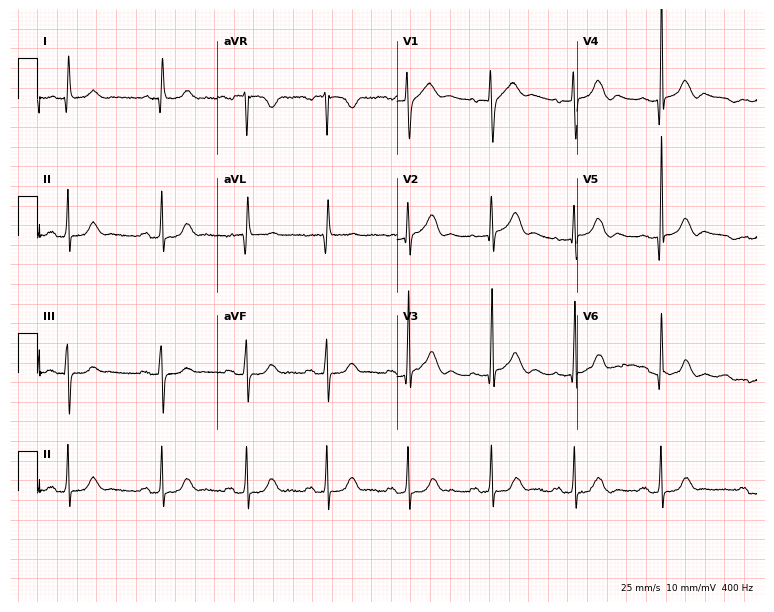
ECG — a woman, 82 years old. Labelled as a normal ECG.